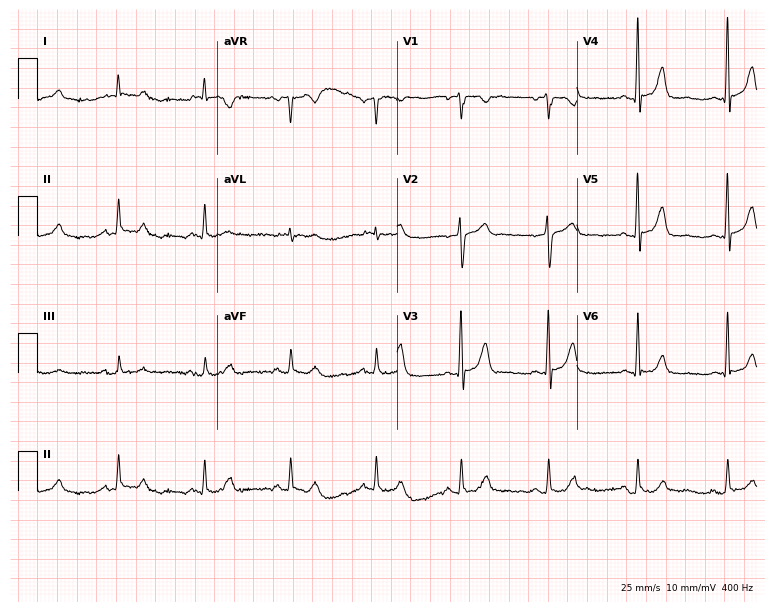
Resting 12-lead electrocardiogram (7.3-second recording at 400 Hz). Patient: a 72-year-old male. None of these six findings is recorded: first-degree AV block, right bundle branch block, left bundle branch block, sinus bradycardia, atrial fibrillation, sinus tachycardia.